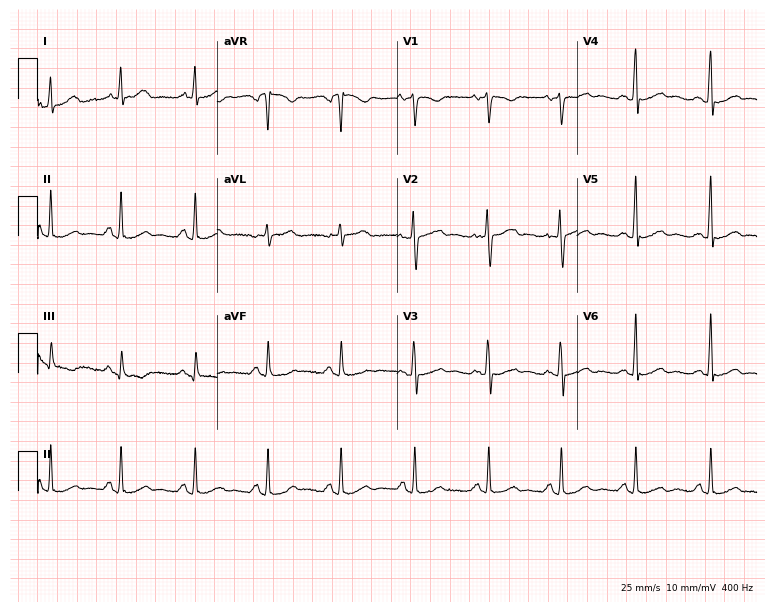
ECG — a woman, 29 years old. Labelled as a normal ECG.